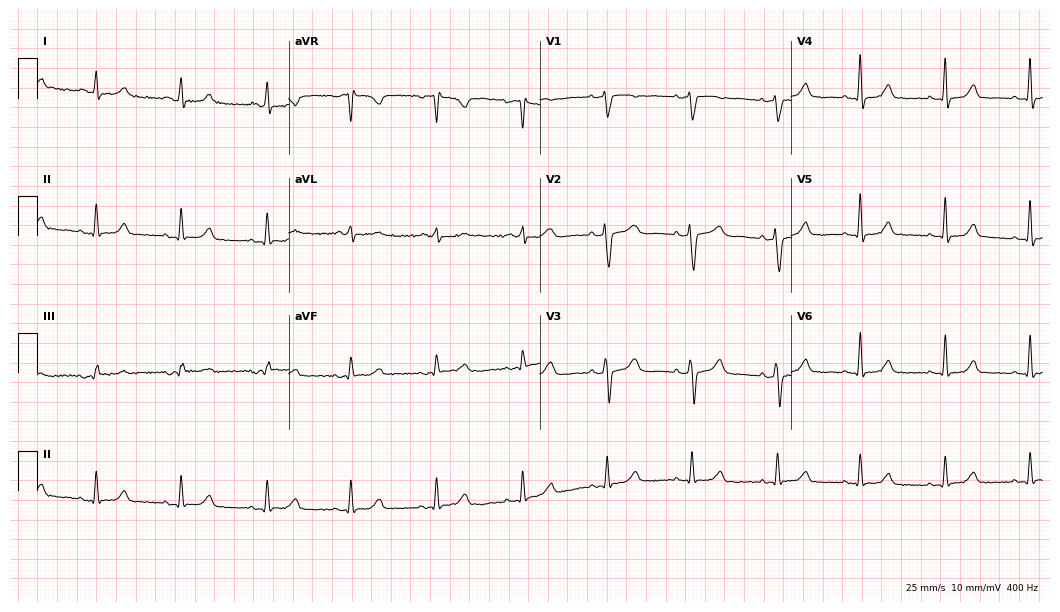
12-lead ECG (10.2-second recording at 400 Hz) from a 77-year-old female patient. Labelled as a normal ECG.